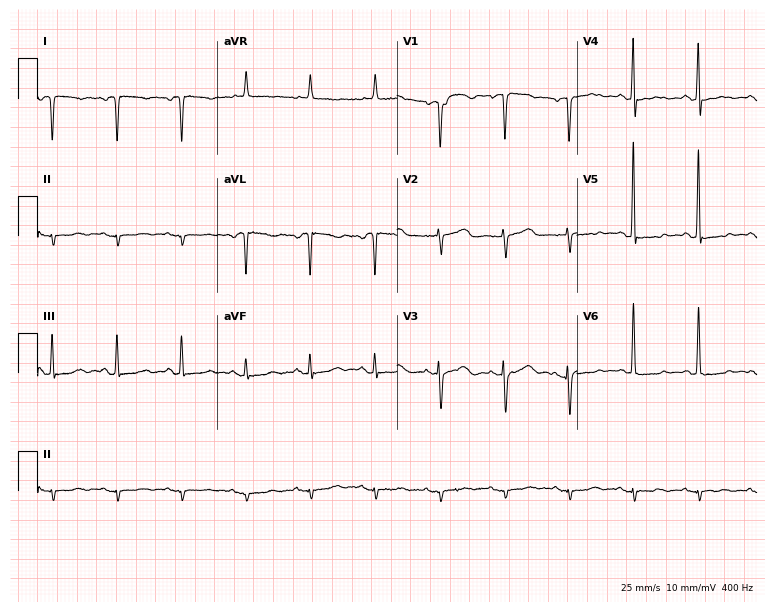
Resting 12-lead electrocardiogram. Patient: an 81-year-old female. None of these six findings is recorded: first-degree AV block, right bundle branch block (RBBB), left bundle branch block (LBBB), sinus bradycardia, atrial fibrillation (AF), sinus tachycardia. Other findings, if any, are not listed.